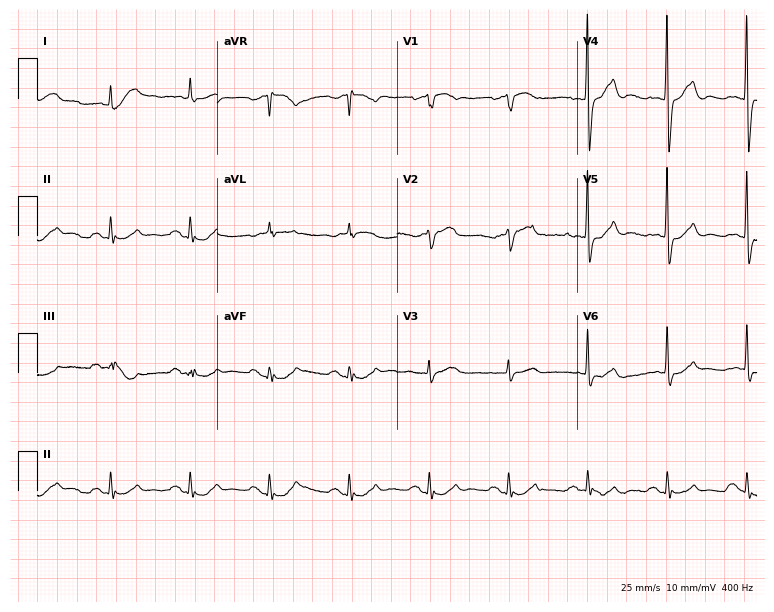
Electrocardiogram, an 82-year-old male patient. Of the six screened findings (first-degree AV block, right bundle branch block (RBBB), left bundle branch block (LBBB), sinus bradycardia, atrial fibrillation (AF), sinus tachycardia), none is recorded.